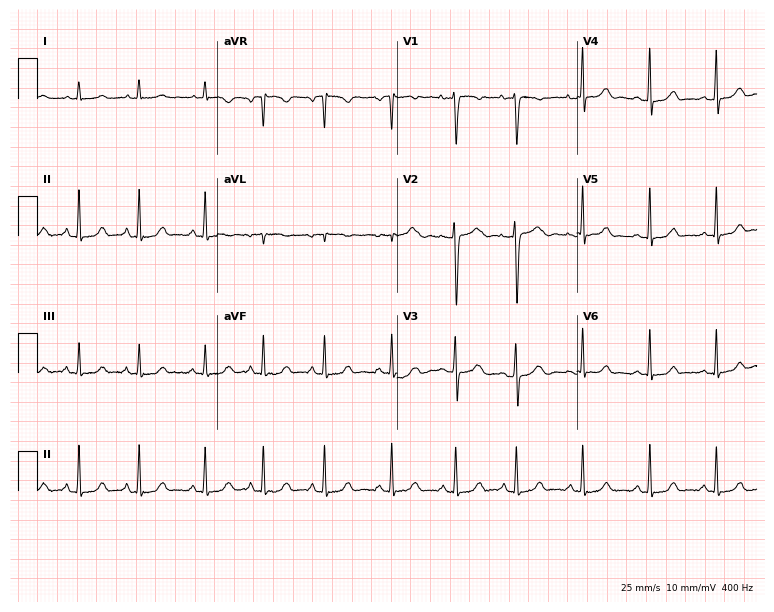
Electrocardiogram (7.3-second recording at 400 Hz), a 19-year-old female. Overall reading on record: normal ECG.